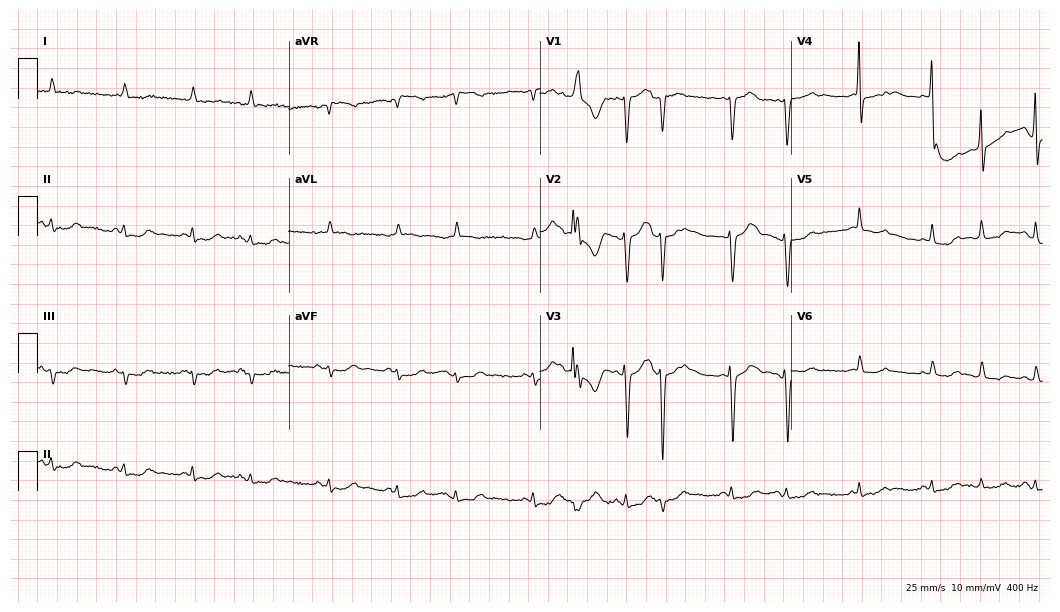
12-lead ECG from an 83-year-old female (10.2-second recording at 400 Hz). No first-degree AV block, right bundle branch block, left bundle branch block, sinus bradycardia, atrial fibrillation or sinus tachycardia recorded for this tracing. Only these six findings were labelled.